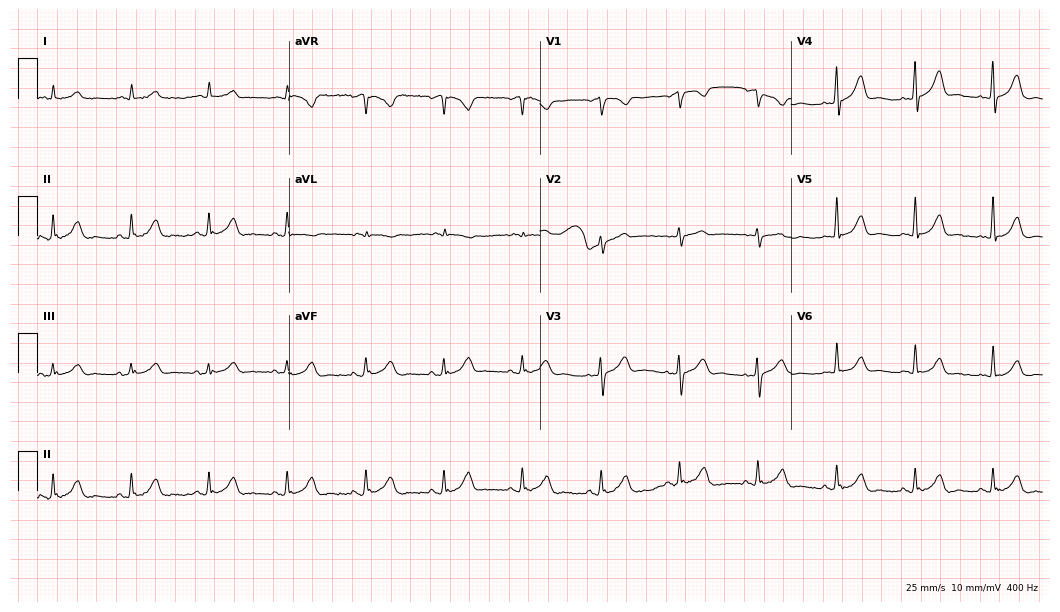
12-lead ECG from a 76-year-old man. Recorded interpretation: within normal limits.